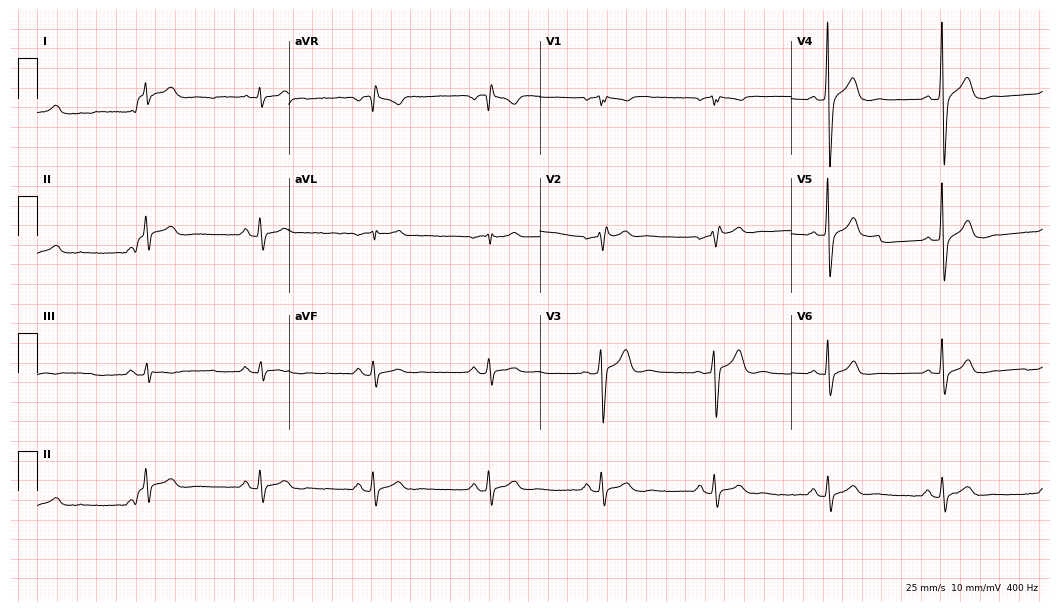
12-lead ECG (10.2-second recording at 400 Hz) from a 54-year-old male. Screened for six findings — first-degree AV block, right bundle branch block, left bundle branch block, sinus bradycardia, atrial fibrillation, sinus tachycardia — none is recorded. Findings outside these six are not listed.